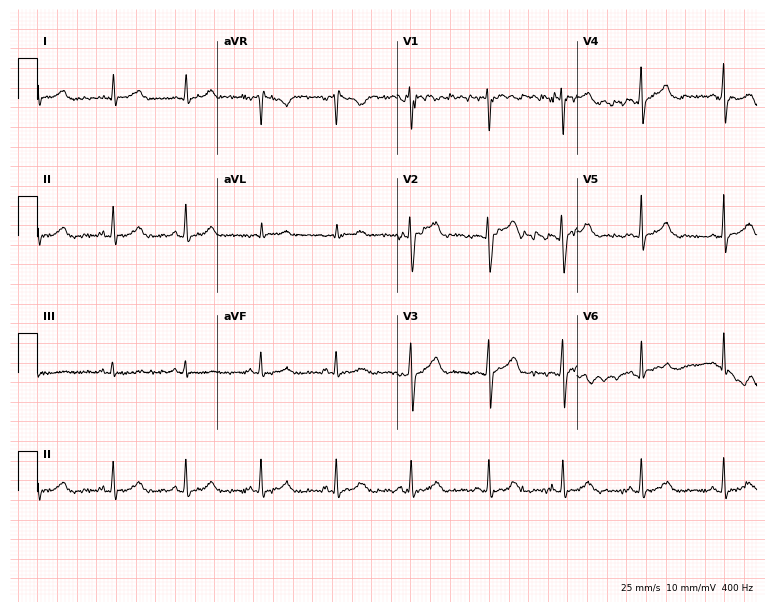
ECG — a 36-year-old female patient. Labelled as a normal ECG.